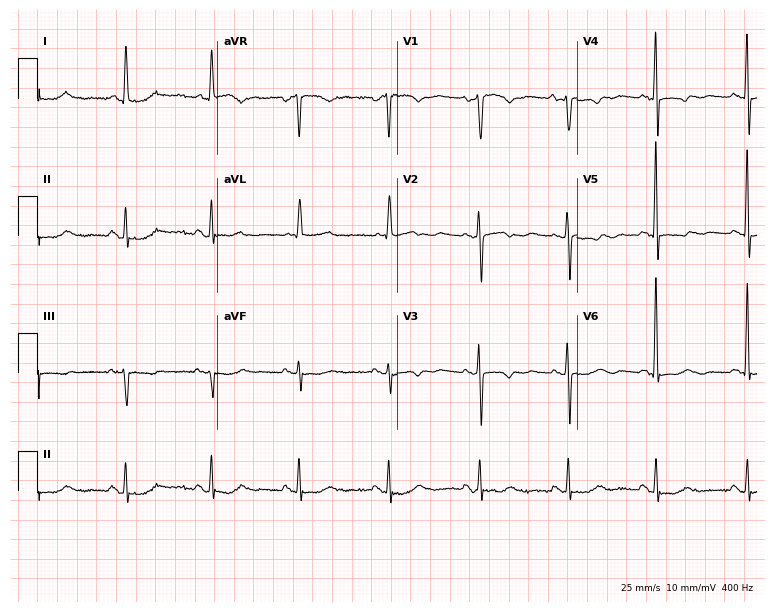
ECG (7.3-second recording at 400 Hz) — a woman, 71 years old. Screened for six findings — first-degree AV block, right bundle branch block, left bundle branch block, sinus bradycardia, atrial fibrillation, sinus tachycardia — none is recorded.